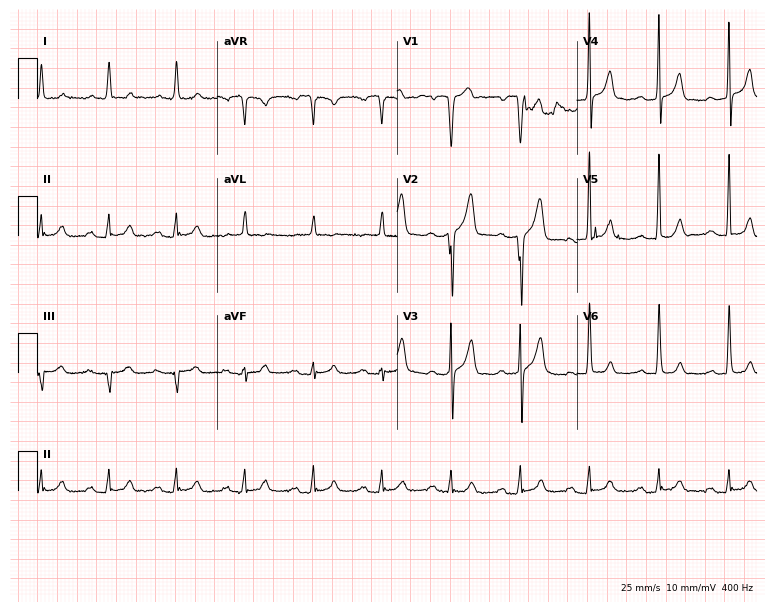
ECG — a 66-year-old man. Screened for six findings — first-degree AV block, right bundle branch block, left bundle branch block, sinus bradycardia, atrial fibrillation, sinus tachycardia — none is recorded. Findings outside these six are not listed.